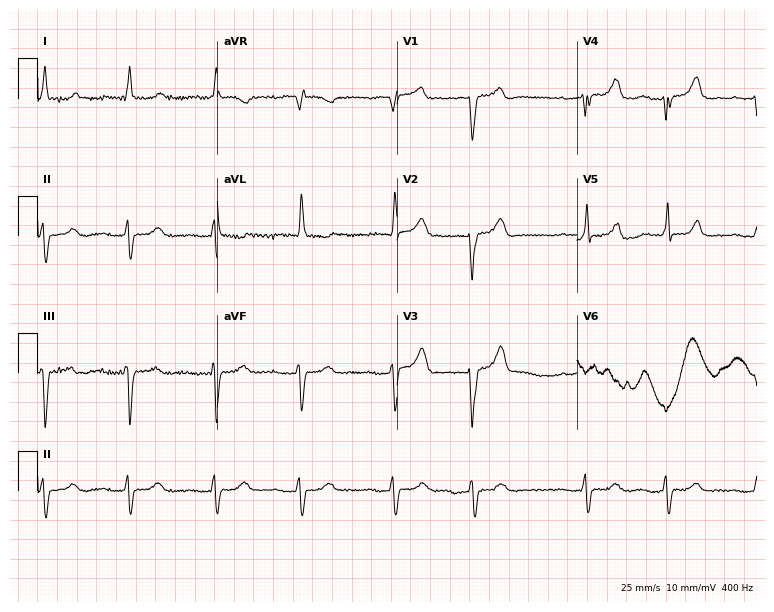
ECG (7.3-second recording at 400 Hz) — a female, 85 years old. Screened for six findings — first-degree AV block, right bundle branch block, left bundle branch block, sinus bradycardia, atrial fibrillation, sinus tachycardia — none is recorded.